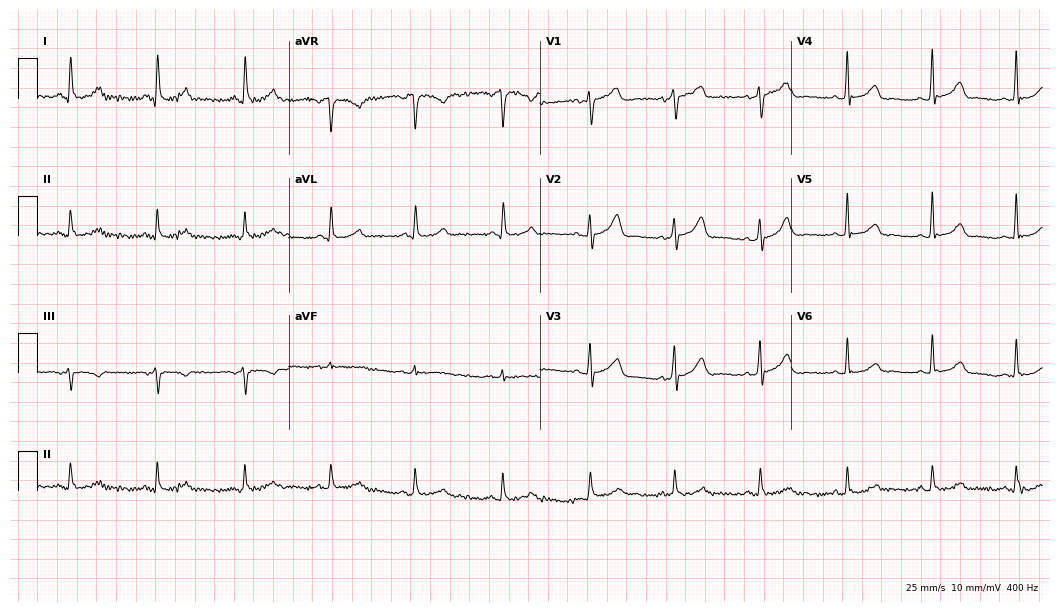
12-lead ECG from a woman, 67 years old. Labelled as a normal ECG.